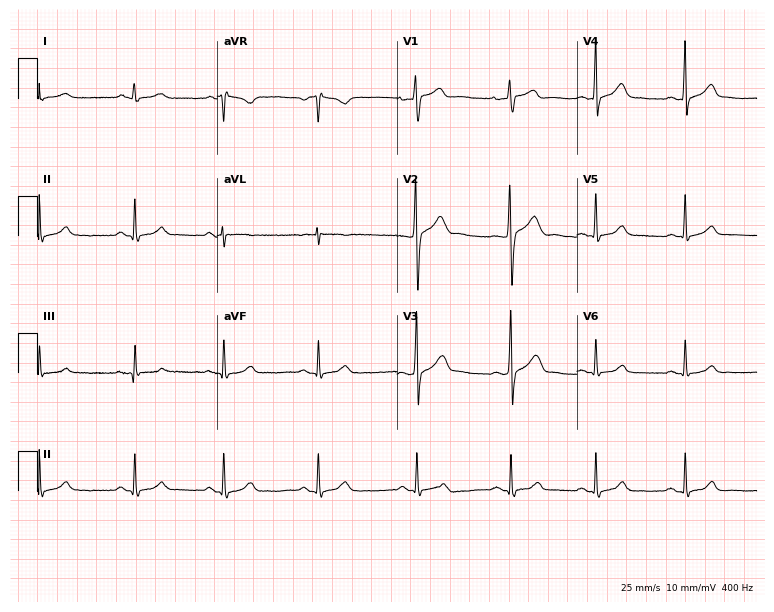
ECG (7.3-second recording at 400 Hz) — a male, 29 years old. Screened for six findings — first-degree AV block, right bundle branch block, left bundle branch block, sinus bradycardia, atrial fibrillation, sinus tachycardia — none is recorded.